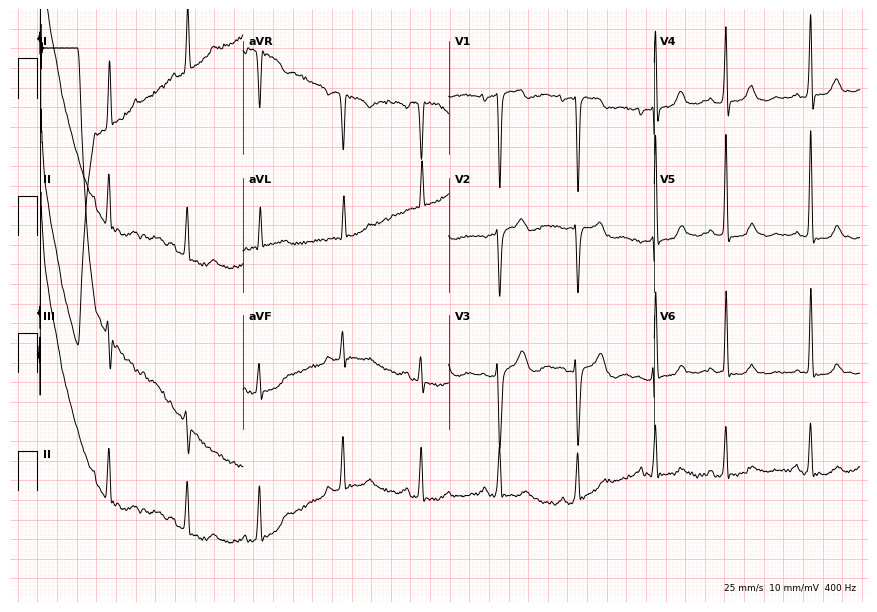
ECG (8.4-second recording at 400 Hz) — a female, 85 years old. Screened for six findings — first-degree AV block, right bundle branch block, left bundle branch block, sinus bradycardia, atrial fibrillation, sinus tachycardia — none is recorded. Only these six findings were labelled.